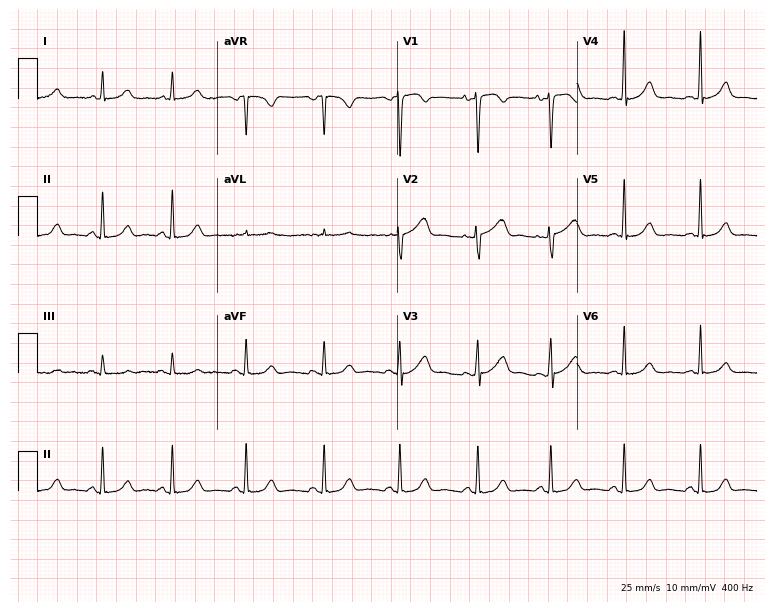
Electrocardiogram, a 47-year-old woman. Overall reading on record: normal ECG.